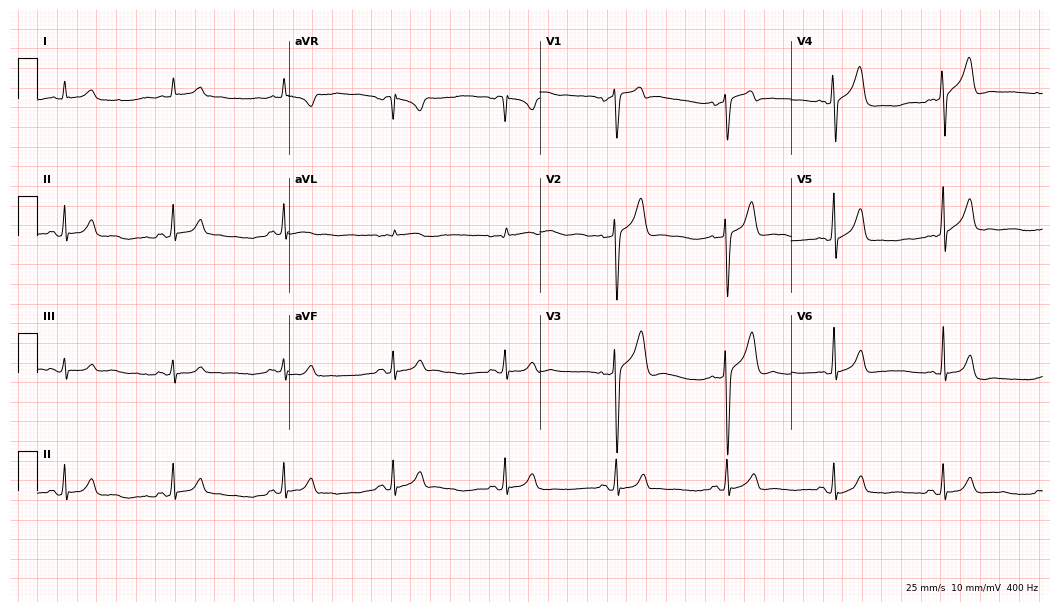
Resting 12-lead electrocardiogram (10.2-second recording at 400 Hz). Patient: a 34-year-old man. Read as a normal ECG.